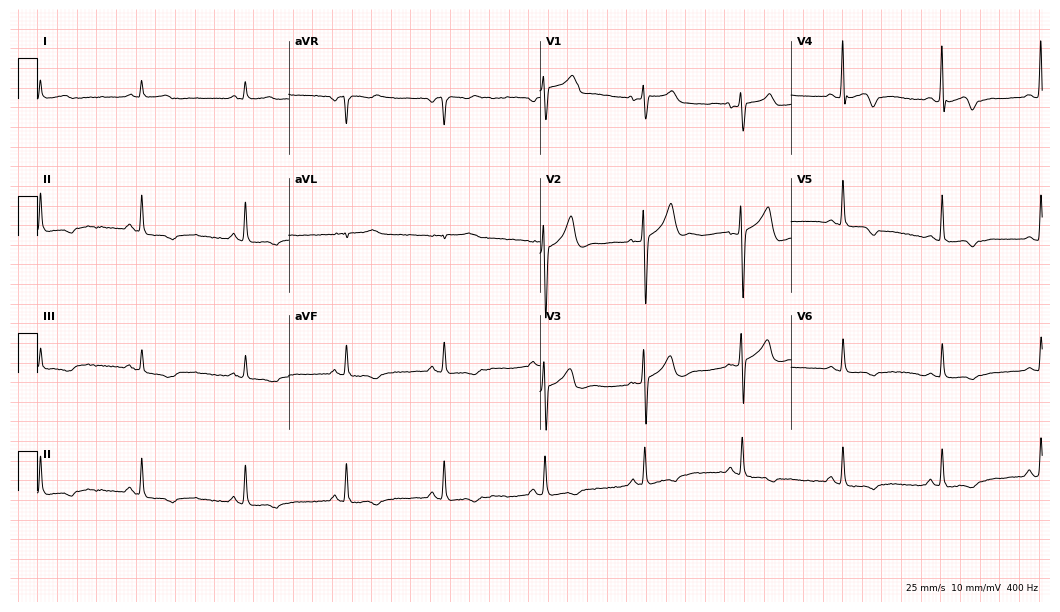
Electrocardiogram (10.2-second recording at 400 Hz), a man, 65 years old. Of the six screened findings (first-degree AV block, right bundle branch block, left bundle branch block, sinus bradycardia, atrial fibrillation, sinus tachycardia), none is recorded.